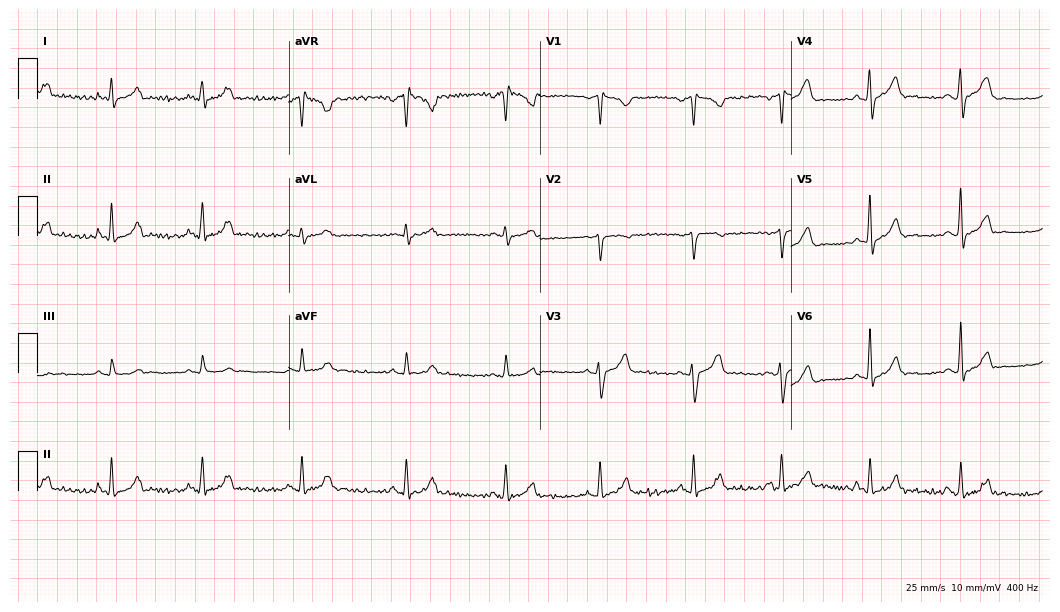
Standard 12-lead ECG recorded from a 35-year-old male. None of these six findings is recorded: first-degree AV block, right bundle branch block (RBBB), left bundle branch block (LBBB), sinus bradycardia, atrial fibrillation (AF), sinus tachycardia. Only these six findings were labelled.